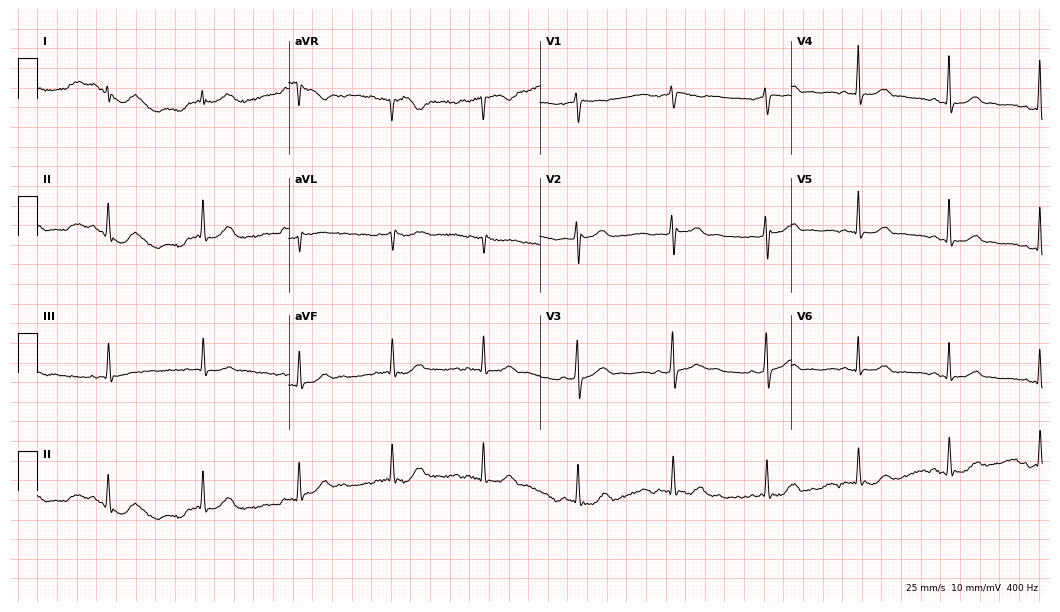
12-lead ECG from a 27-year-old female. No first-degree AV block, right bundle branch block, left bundle branch block, sinus bradycardia, atrial fibrillation or sinus tachycardia recorded for this tracing. Only these six findings were labelled.